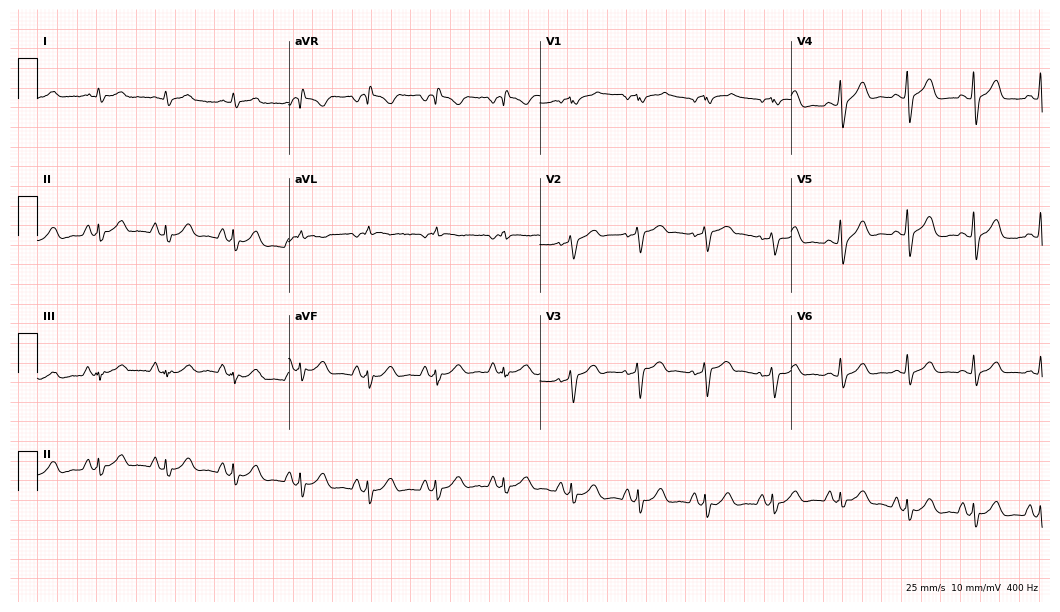
12-lead ECG from a 61-year-old male patient (10.2-second recording at 400 Hz). Recorded interpretation: within normal limits.